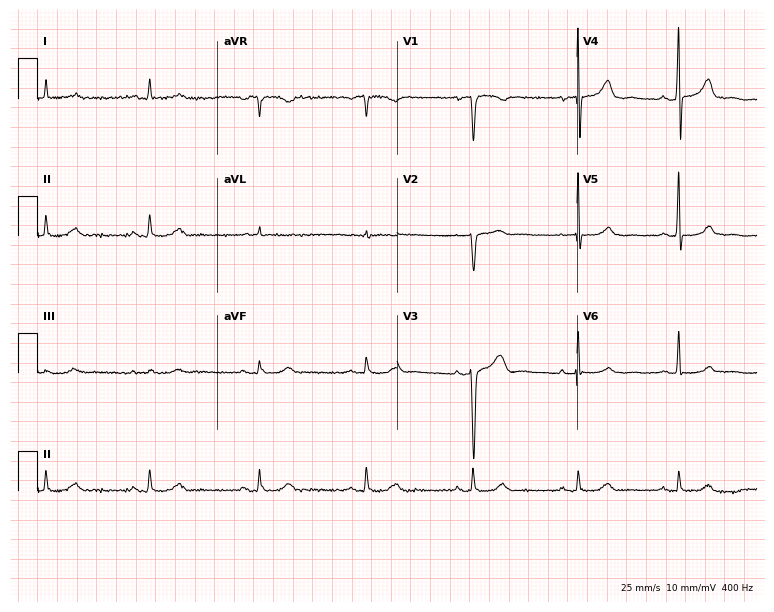
Electrocardiogram, a 60-year-old man. Overall reading on record: normal ECG.